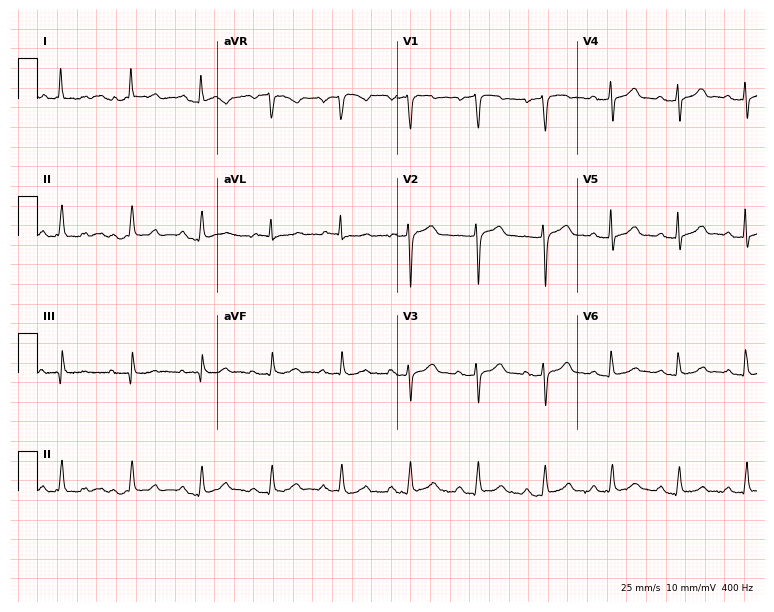
ECG (7.3-second recording at 400 Hz) — a male patient, 78 years old. Labelled as a normal ECG.